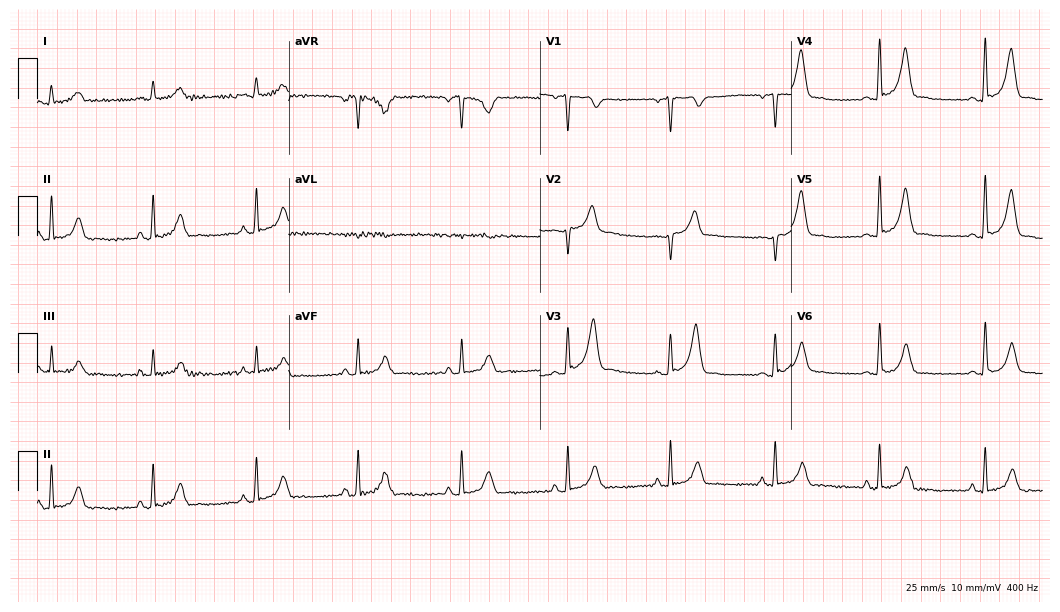
12-lead ECG from a 38-year-old man (10.2-second recording at 400 Hz). Recorded interpretation: within normal limits.